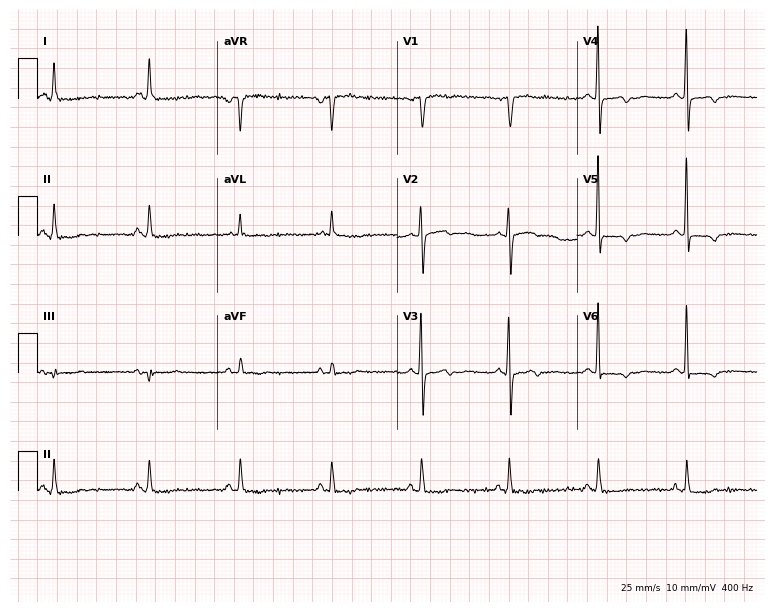
12-lead ECG from a female patient, 68 years old (7.3-second recording at 400 Hz). No first-degree AV block, right bundle branch block, left bundle branch block, sinus bradycardia, atrial fibrillation or sinus tachycardia recorded for this tracing.